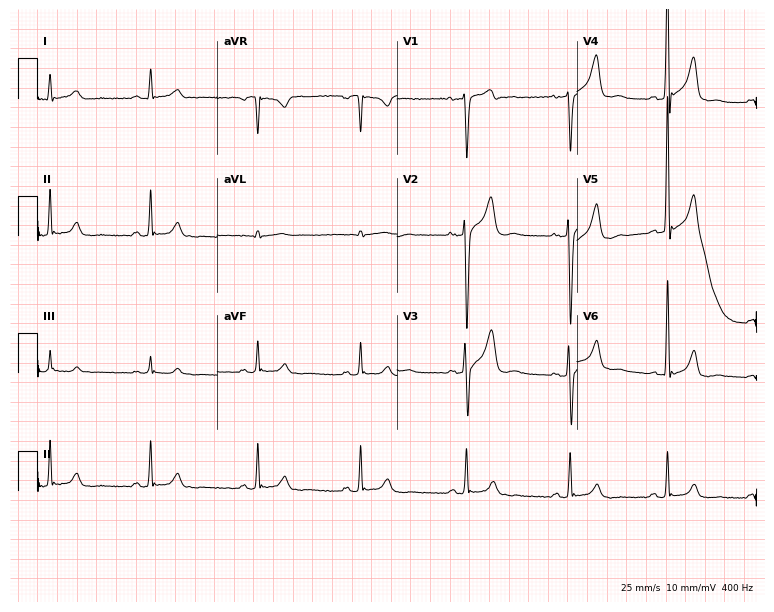
Resting 12-lead electrocardiogram (7.3-second recording at 400 Hz). Patient: a male, 45 years old. None of these six findings is recorded: first-degree AV block, right bundle branch block, left bundle branch block, sinus bradycardia, atrial fibrillation, sinus tachycardia. Other findings, if any, are not listed.